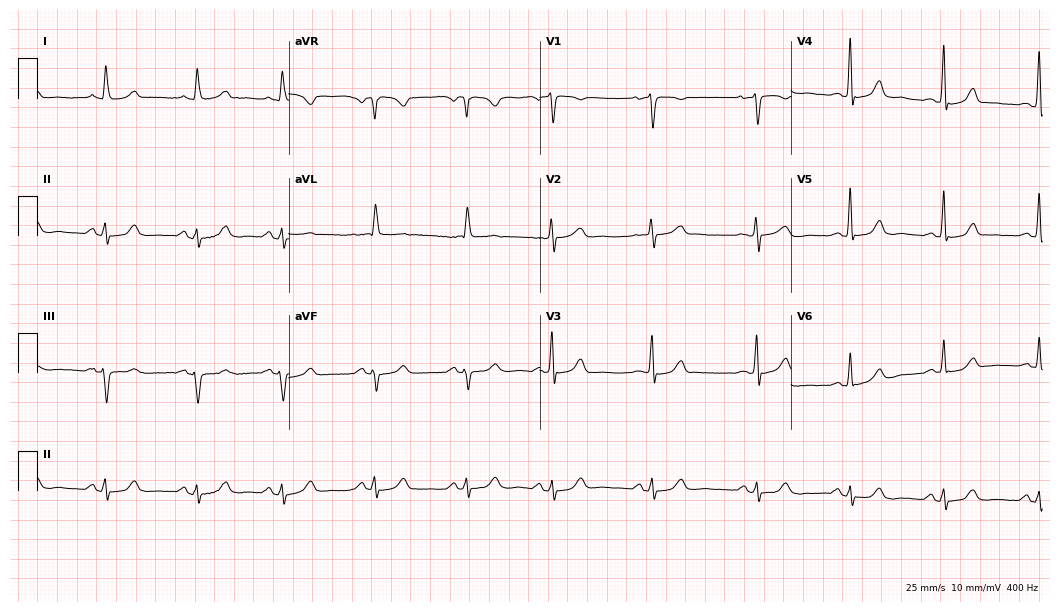
12-lead ECG from a 68-year-old female patient. No first-degree AV block, right bundle branch block, left bundle branch block, sinus bradycardia, atrial fibrillation or sinus tachycardia recorded for this tracing.